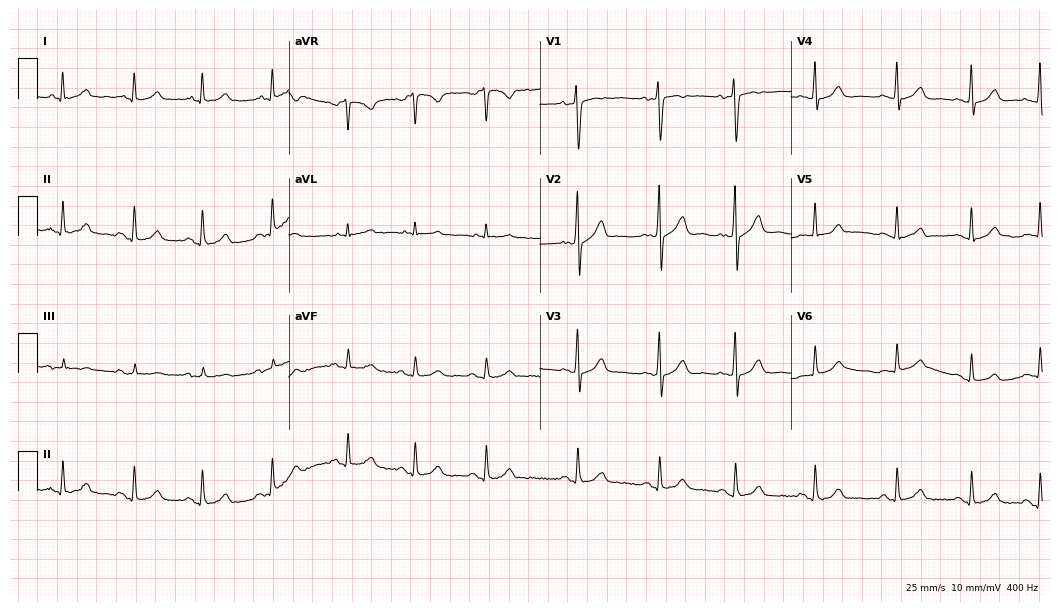
12-lead ECG from a 27-year-old female patient (10.2-second recording at 400 Hz). Recorded interpretation: within normal limits.